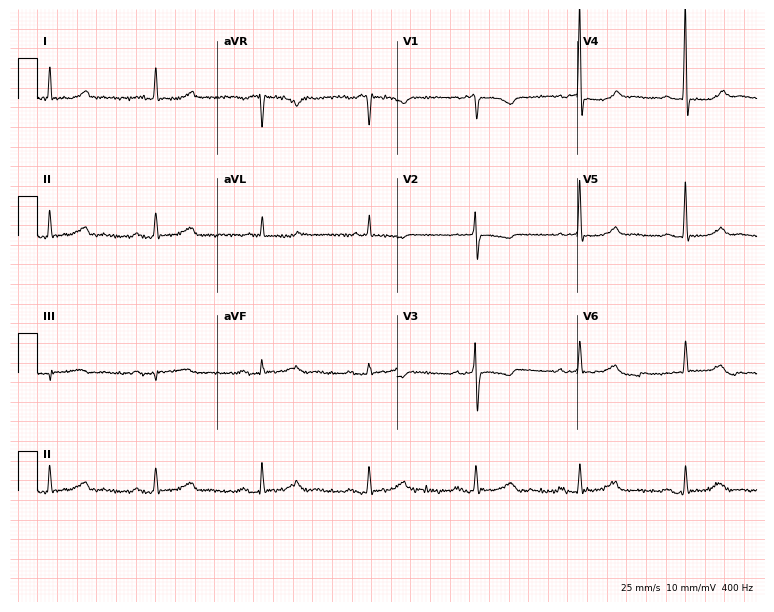
12-lead ECG from a female, 71 years old (7.3-second recording at 400 Hz). No first-degree AV block, right bundle branch block, left bundle branch block, sinus bradycardia, atrial fibrillation or sinus tachycardia recorded for this tracing. Other findings, if any, are not listed.